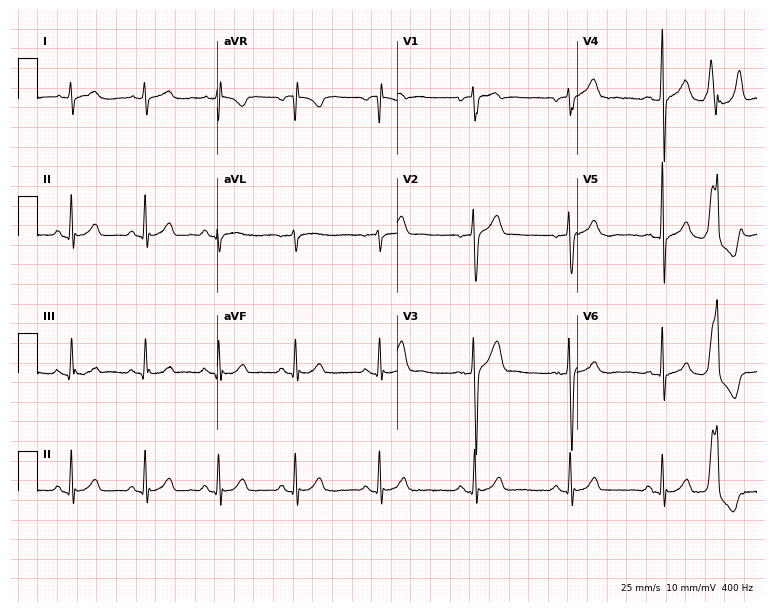
12-lead ECG from a male, 36 years old. No first-degree AV block, right bundle branch block, left bundle branch block, sinus bradycardia, atrial fibrillation or sinus tachycardia recorded for this tracing.